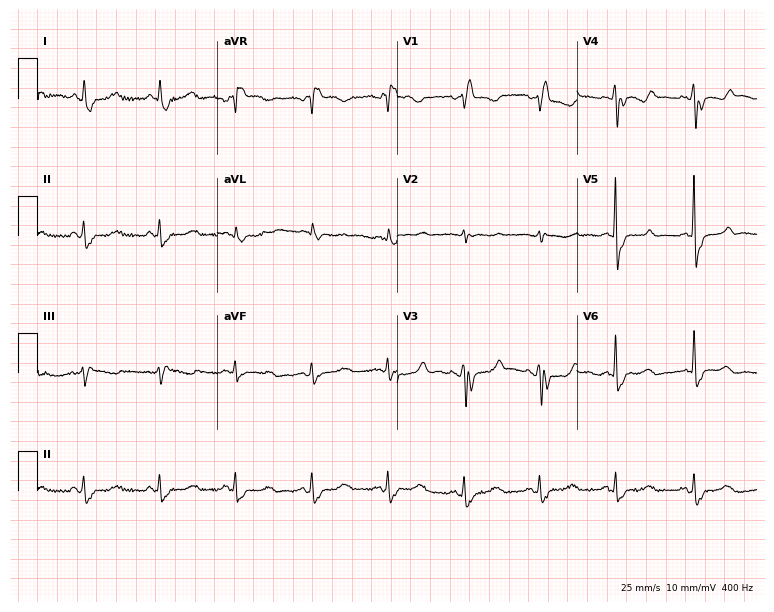
Electrocardiogram, a 76-year-old female. Interpretation includes right bundle branch block.